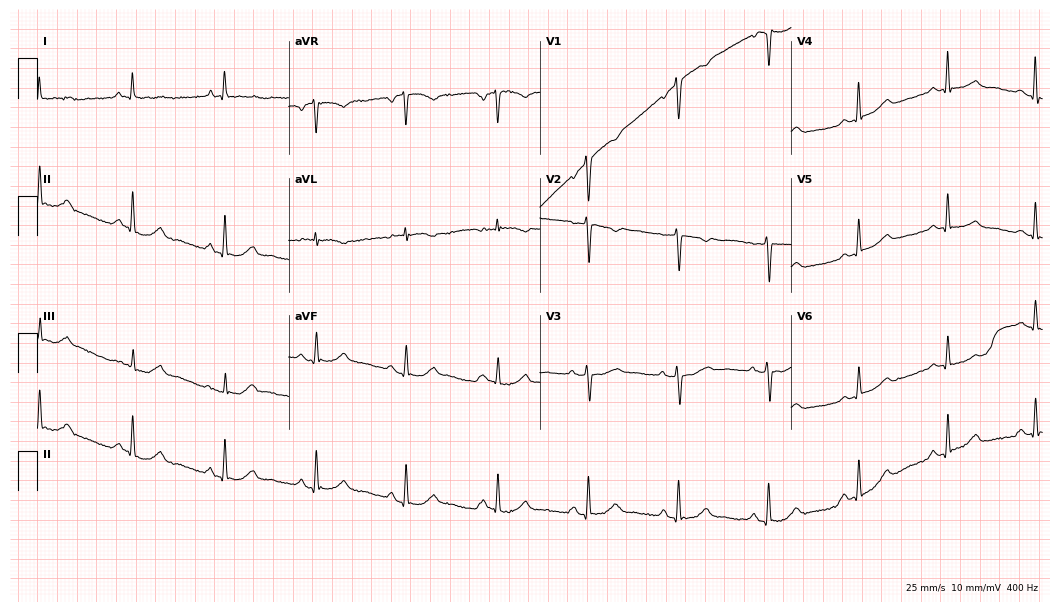
Electrocardiogram, a female patient, 67 years old. Overall reading on record: normal ECG.